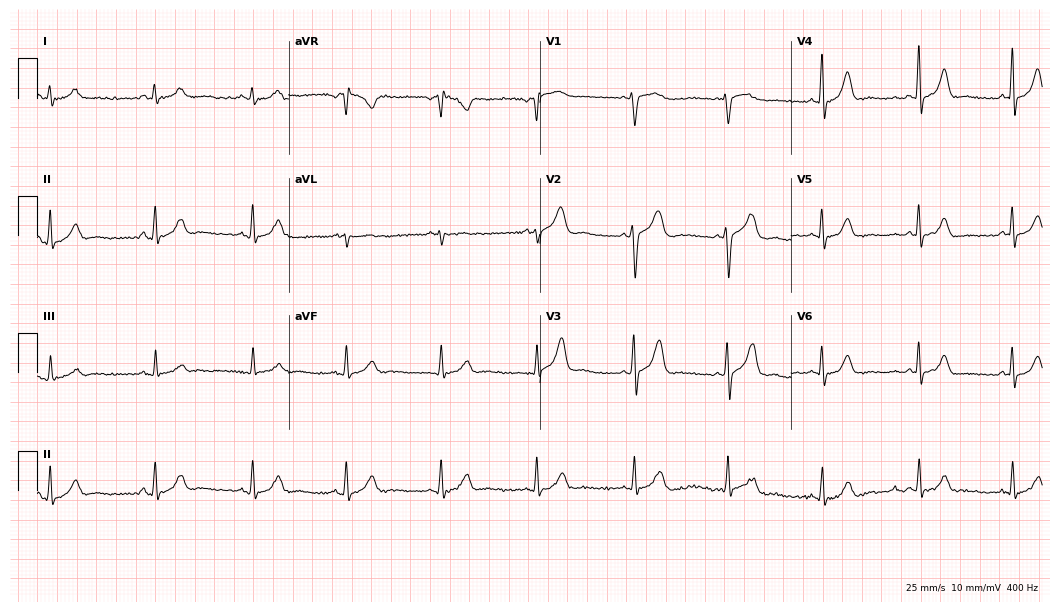
12-lead ECG from a 34-year-old man. Labelled as a normal ECG.